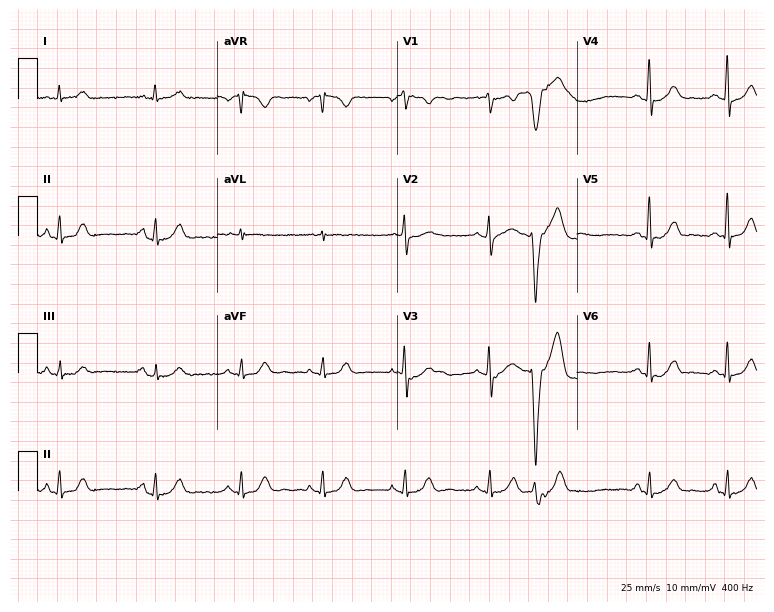
Electrocardiogram (7.3-second recording at 400 Hz), a 59-year-old woman. Of the six screened findings (first-degree AV block, right bundle branch block, left bundle branch block, sinus bradycardia, atrial fibrillation, sinus tachycardia), none is recorded. Other findings, if any, are not listed.